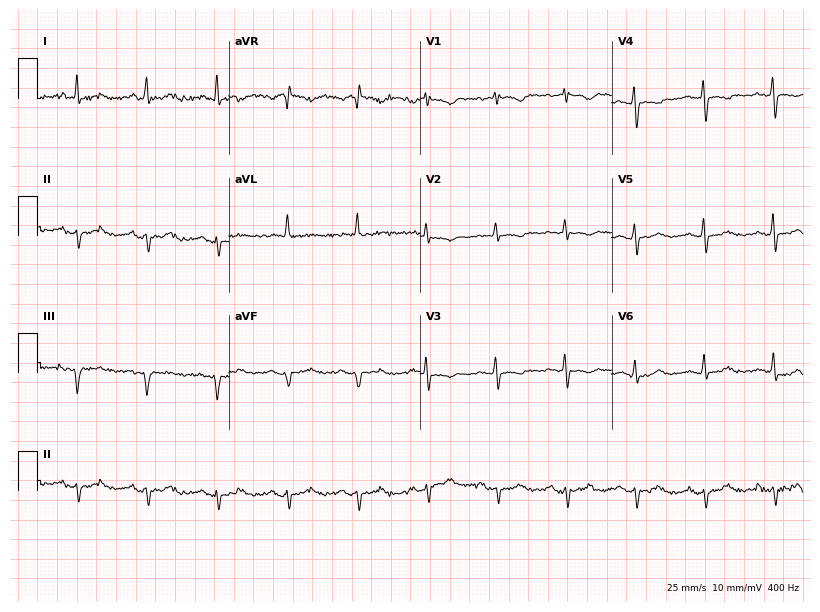
Electrocardiogram, a 56-year-old female patient. Of the six screened findings (first-degree AV block, right bundle branch block (RBBB), left bundle branch block (LBBB), sinus bradycardia, atrial fibrillation (AF), sinus tachycardia), none is recorded. Findings outside these six are not listed.